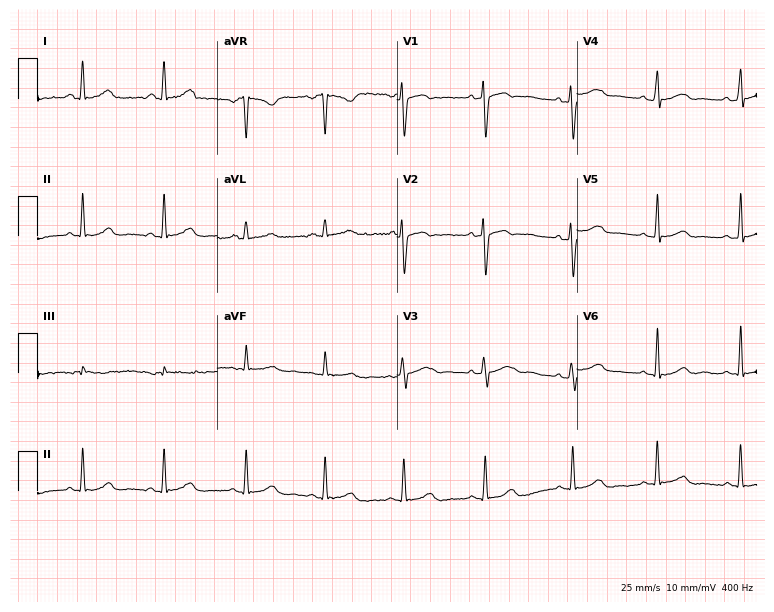
Electrocardiogram, a 32-year-old female. Of the six screened findings (first-degree AV block, right bundle branch block, left bundle branch block, sinus bradycardia, atrial fibrillation, sinus tachycardia), none is recorded.